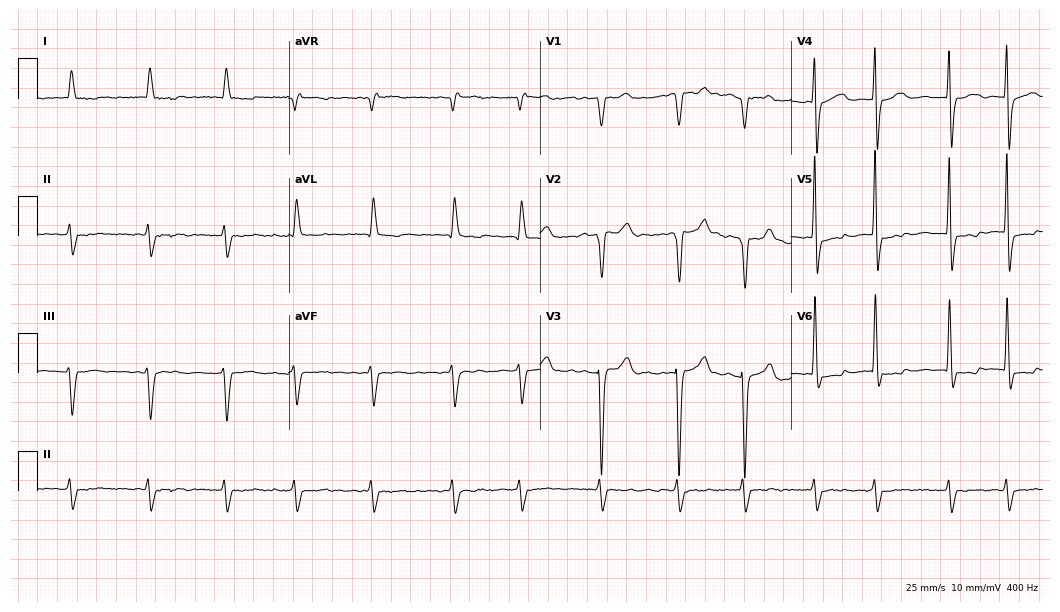
Electrocardiogram, a male, 84 years old. Interpretation includes atrial fibrillation.